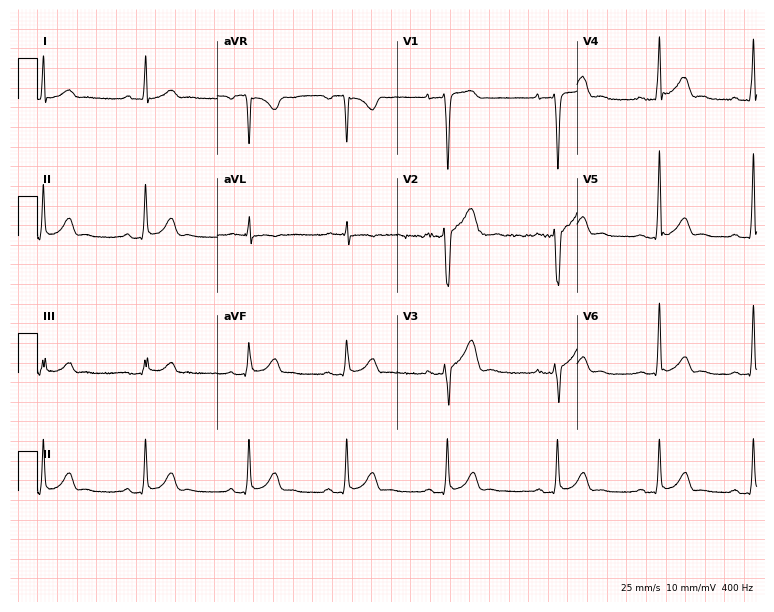
12-lead ECG from a male, 29 years old. Screened for six findings — first-degree AV block, right bundle branch block, left bundle branch block, sinus bradycardia, atrial fibrillation, sinus tachycardia — none is recorded.